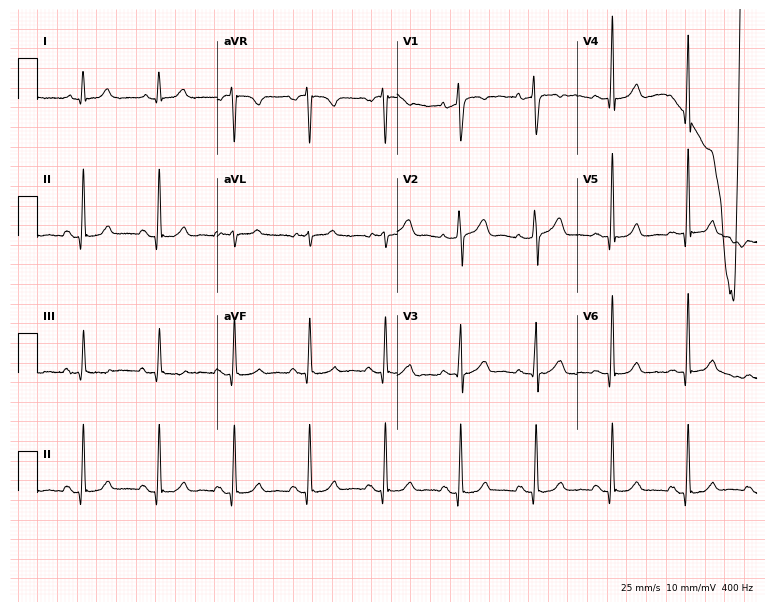
ECG — a male, 59 years old. Labelled as a normal ECG.